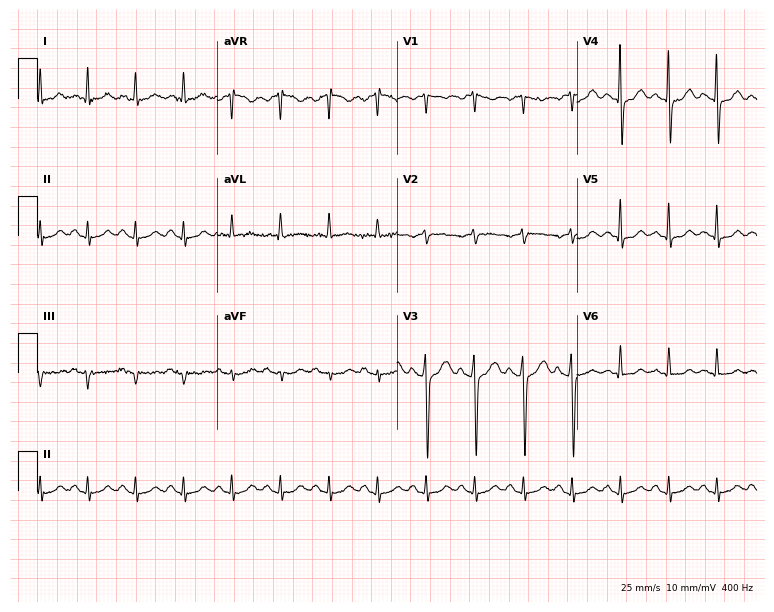
12-lead ECG (7.3-second recording at 400 Hz) from a 57-year-old male patient. Findings include sinus tachycardia (a sinus rate of 100 beats per minute or more).